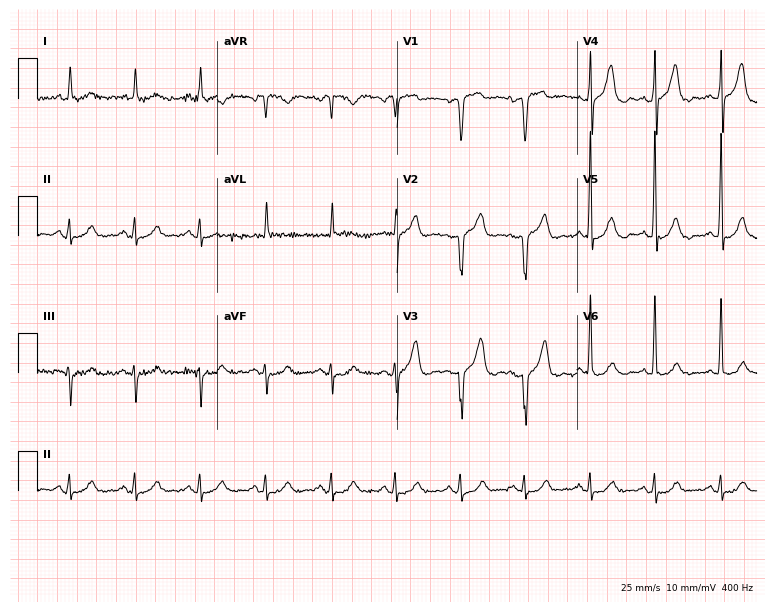
Standard 12-lead ECG recorded from a 78-year-old male patient (7.3-second recording at 400 Hz). Read as a normal ECG.